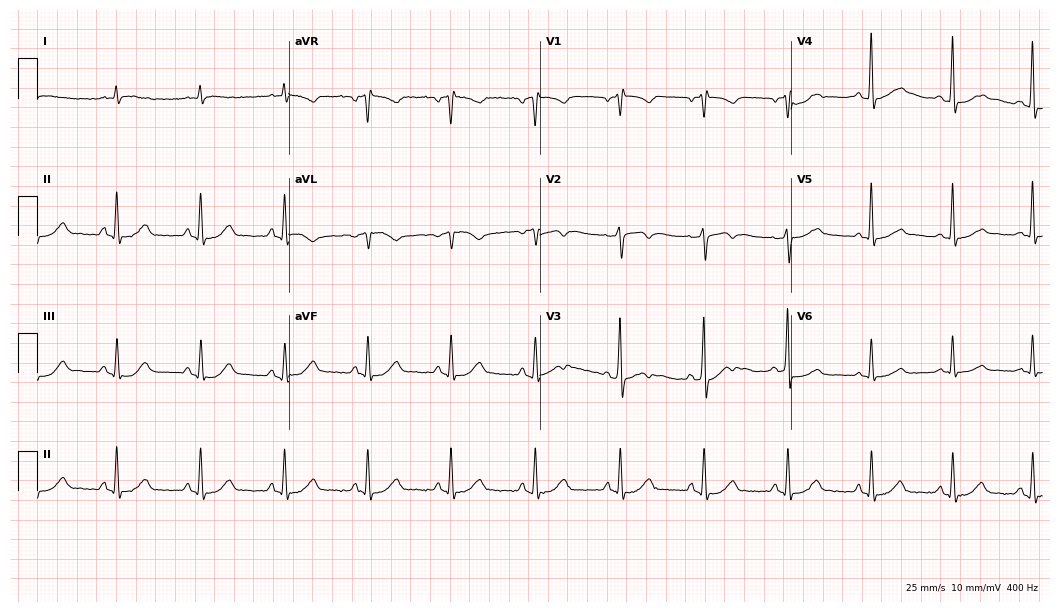
Electrocardiogram (10.2-second recording at 400 Hz), a male, 65 years old. Of the six screened findings (first-degree AV block, right bundle branch block, left bundle branch block, sinus bradycardia, atrial fibrillation, sinus tachycardia), none is recorded. Only these six findings were labelled.